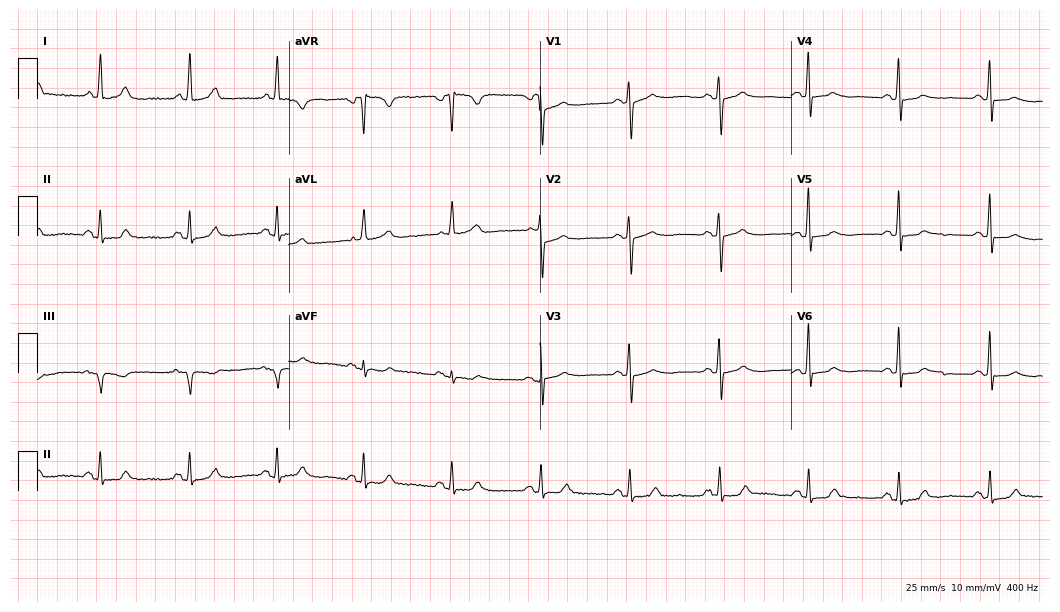
Resting 12-lead electrocardiogram. Patient: a woman, 70 years old. None of these six findings is recorded: first-degree AV block, right bundle branch block, left bundle branch block, sinus bradycardia, atrial fibrillation, sinus tachycardia. Findings outside these six are not listed.